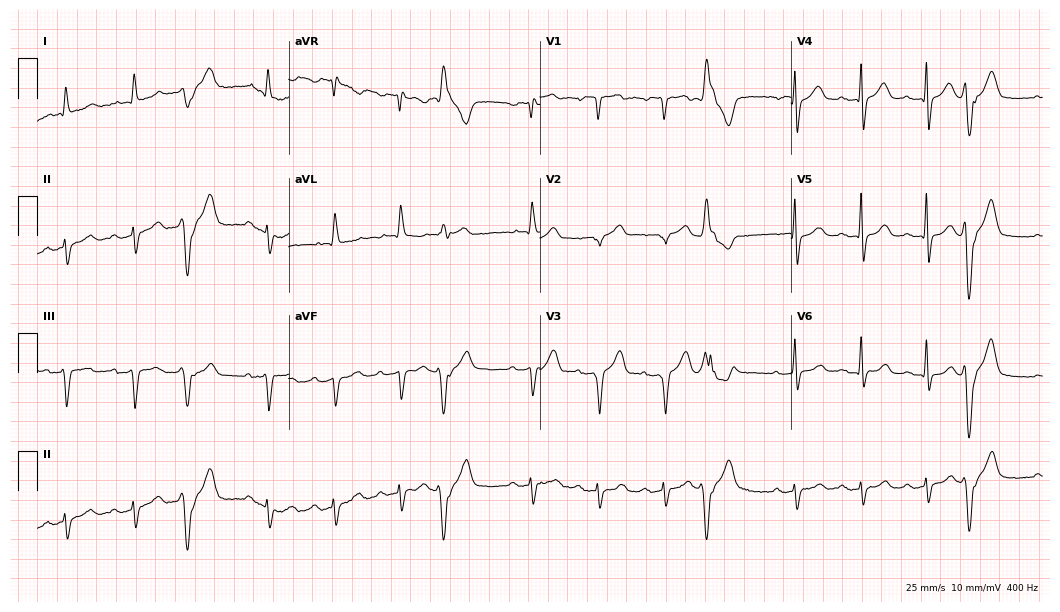
ECG (10.2-second recording at 400 Hz) — a male, 81 years old. Screened for six findings — first-degree AV block, right bundle branch block, left bundle branch block, sinus bradycardia, atrial fibrillation, sinus tachycardia — none is recorded.